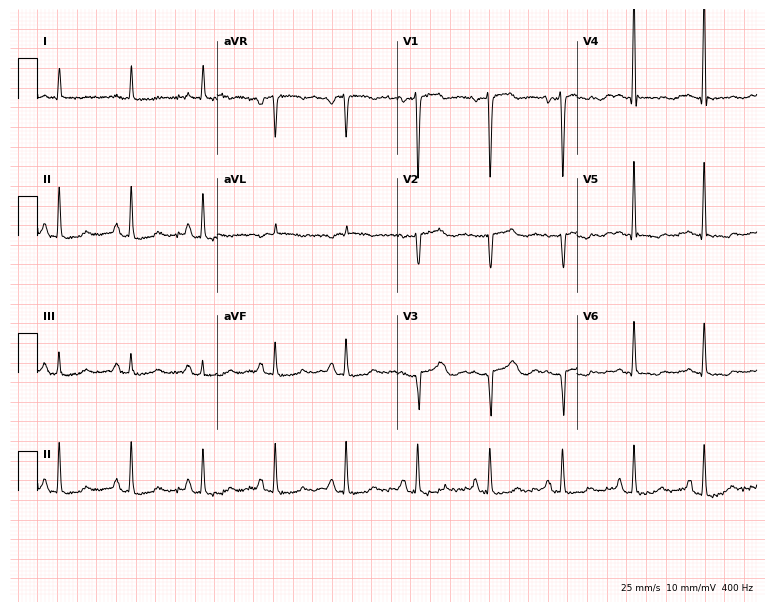
ECG — a woman, 84 years old. Screened for six findings — first-degree AV block, right bundle branch block, left bundle branch block, sinus bradycardia, atrial fibrillation, sinus tachycardia — none is recorded. Only these six findings were labelled.